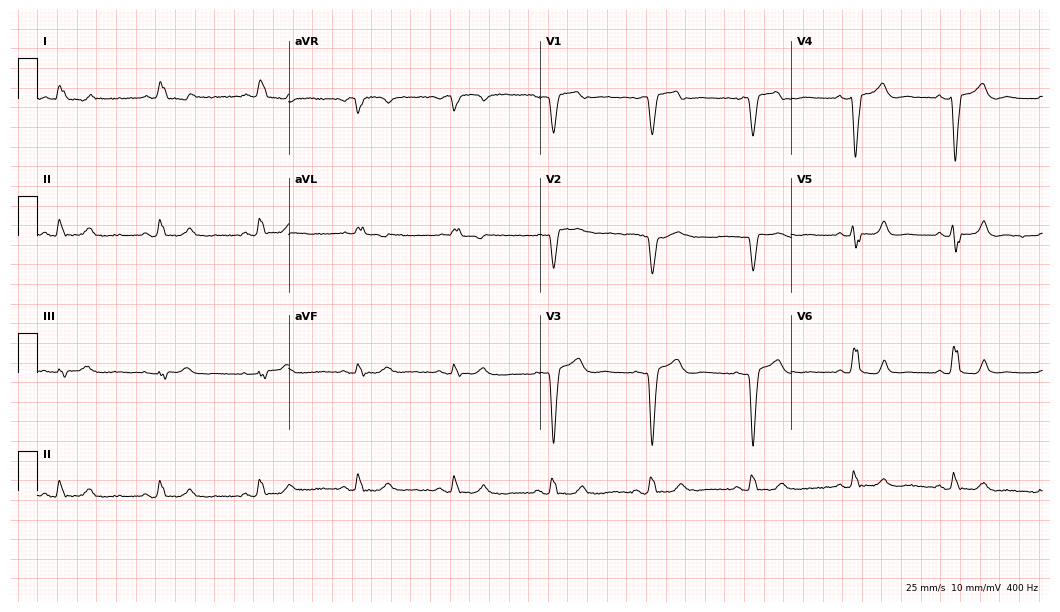
12-lead ECG from an 82-year-old woman. Findings include left bundle branch block.